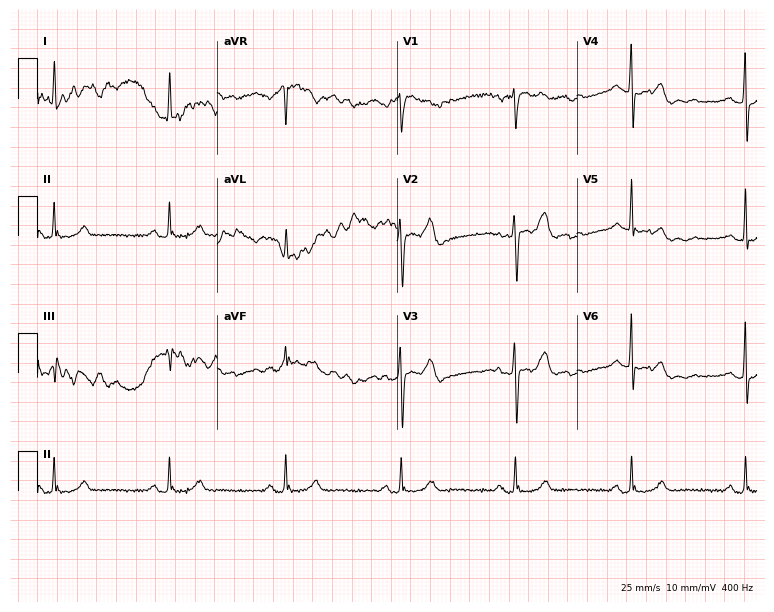
ECG (7.3-second recording at 400 Hz) — a 69-year-old female. Labelled as a normal ECG.